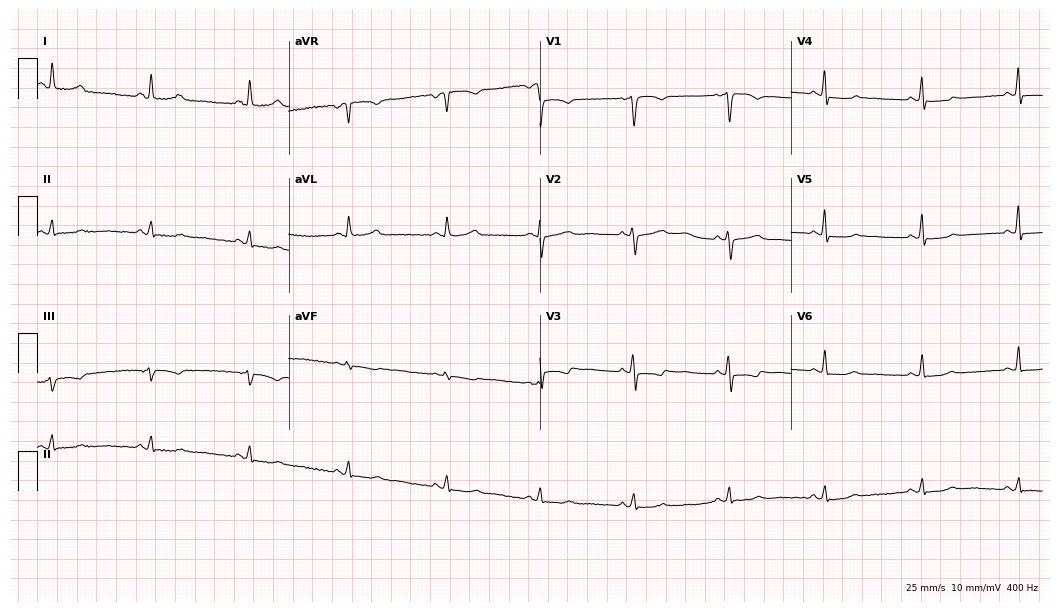
Standard 12-lead ECG recorded from a 54-year-old female (10.2-second recording at 400 Hz). Read as a normal ECG.